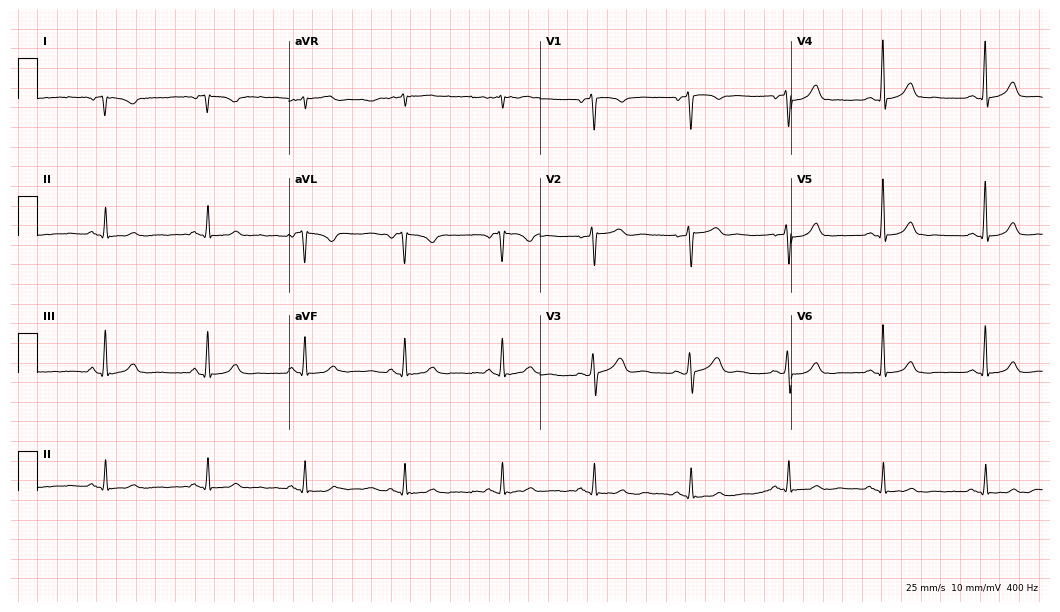
12-lead ECG from a 41-year-old woman. Screened for six findings — first-degree AV block, right bundle branch block, left bundle branch block, sinus bradycardia, atrial fibrillation, sinus tachycardia — none is recorded. Only these six findings were labelled.